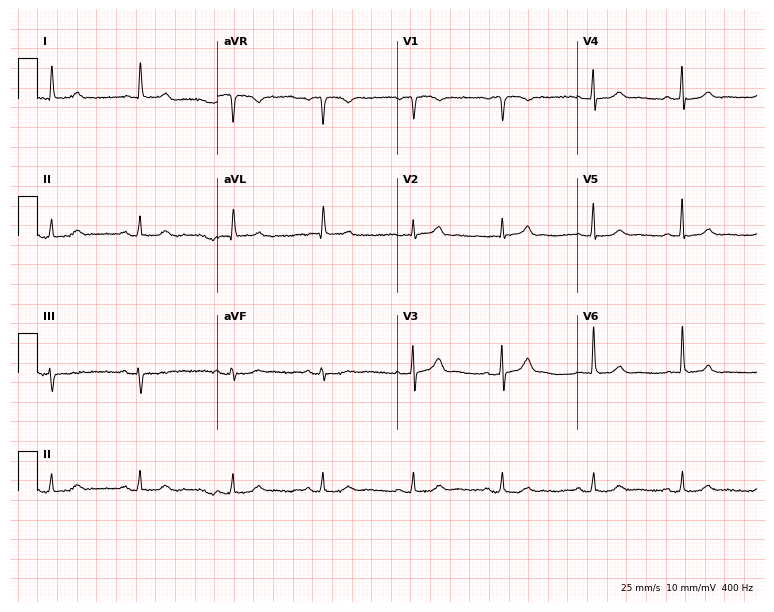
12-lead ECG from a woman, 76 years old. Recorded interpretation: within normal limits.